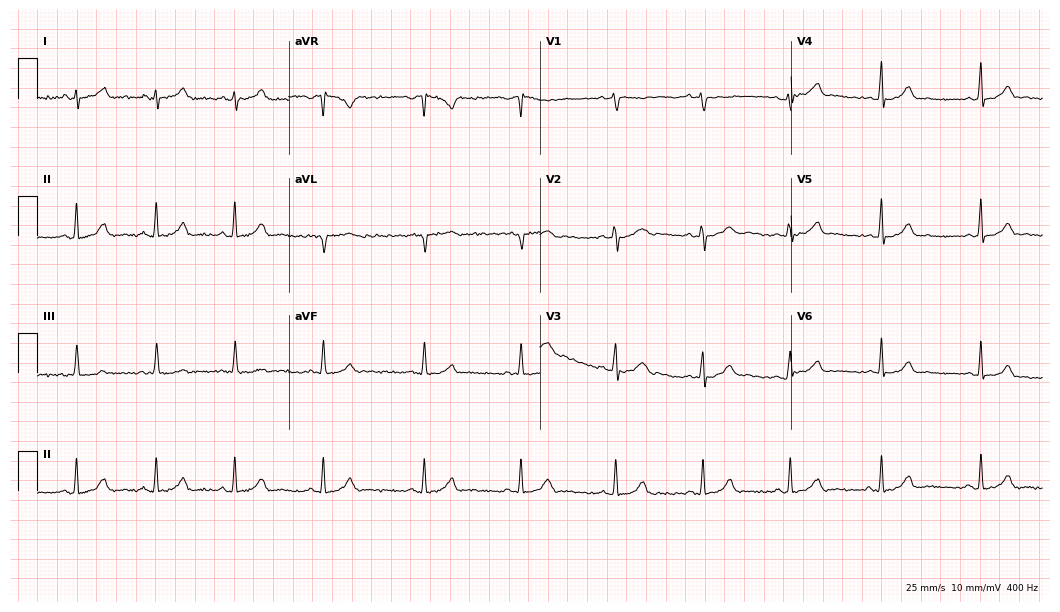
Electrocardiogram (10.2-second recording at 400 Hz), a 28-year-old female. Overall reading on record: normal ECG.